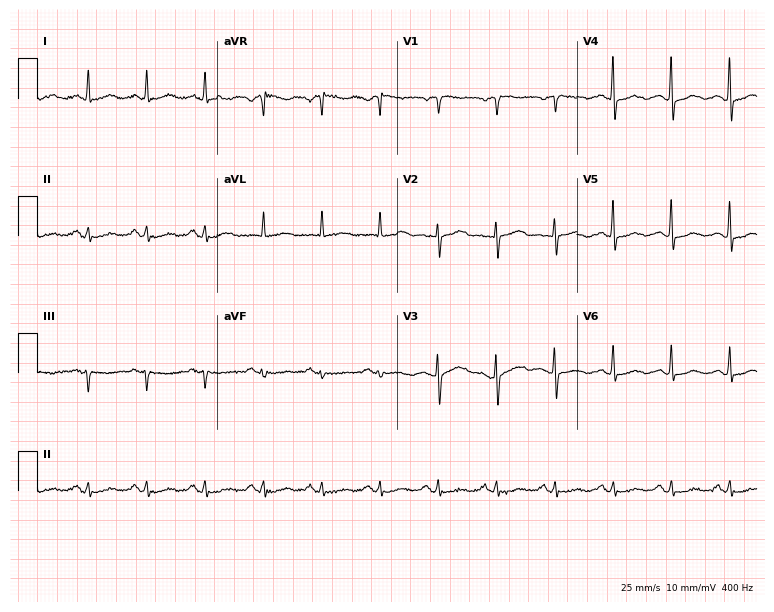
ECG — a 78-year-old female. Labelled as a normal ECG.